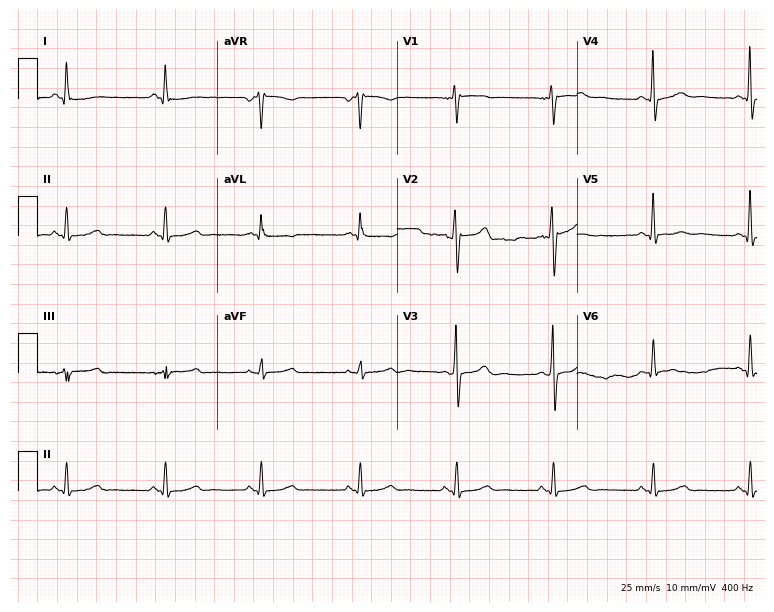
ECG (7.3-second recording at 400 Hz) — a 54-year-old man. Labelled as a normal ECG.